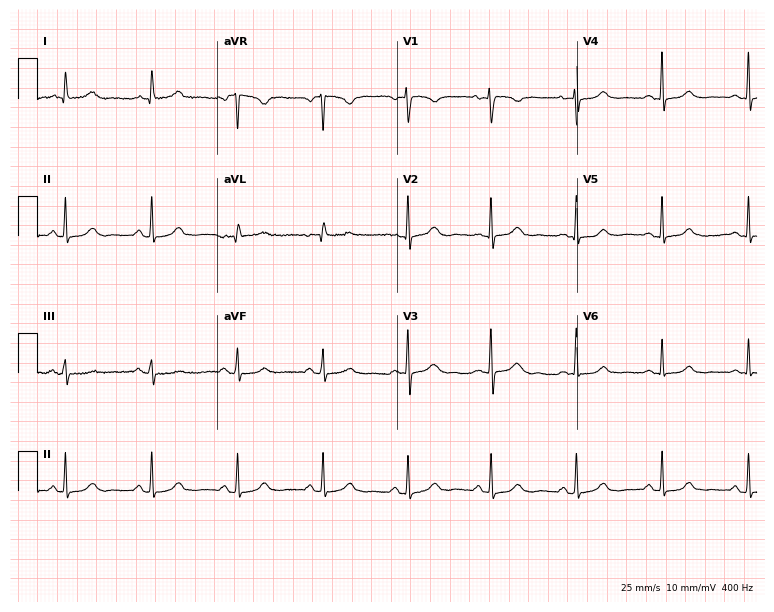
Electrocardiogram (7.3-second recording at 400 Hz), a woman, 56 years old. Of the six screened findings (first-degree AV block, right bundle branch block, left bundle branch block, sinus bradycardia, atrial fibrillation, sinus tachycardia), none is recorded. Only these six findings were labelled.